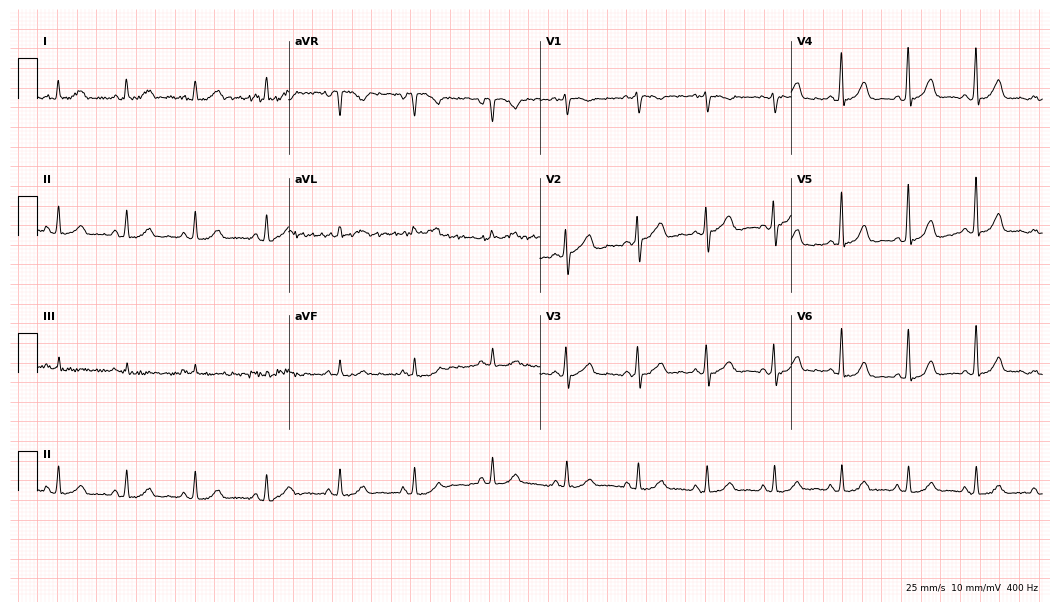
Standard 12-lead ECG recorded from a female patient, 53 years old (10.2-second recording at 400 Hz). Read as a normal ECG.